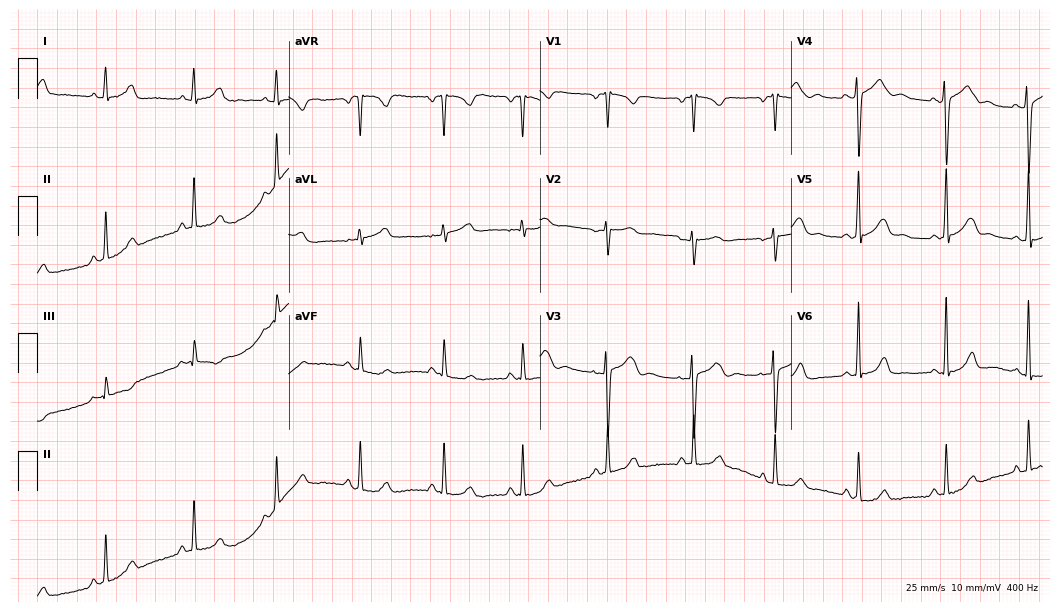
ECG — a woman, 26 years old. Screened for six findings — first-degree AV block, right bundle branch block, left bundle branch block, sinus bradycardia, atrial fibrillation, sinus tachycardia — none is recorded.